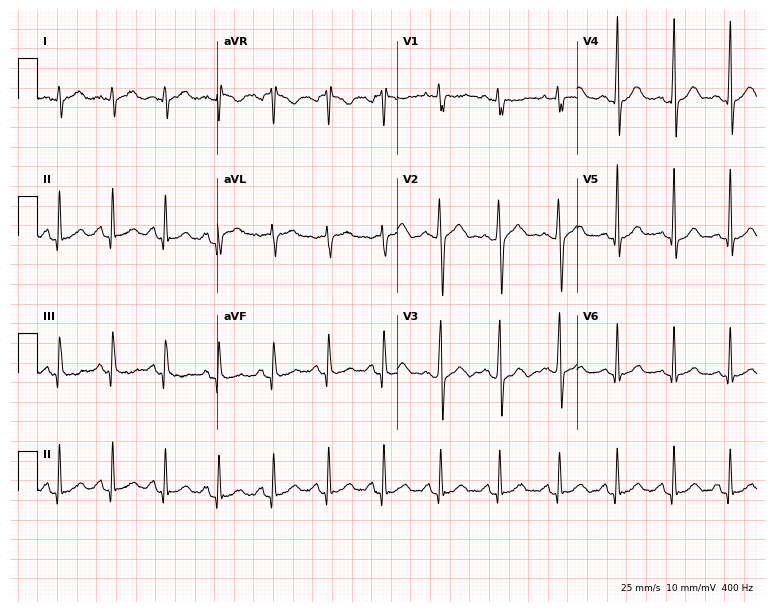
Standard 12-lead ECG recorded from a 22-year-old female. The tracing shows sinus tachycardia (a sinus rate of 100 beats per minute or more).